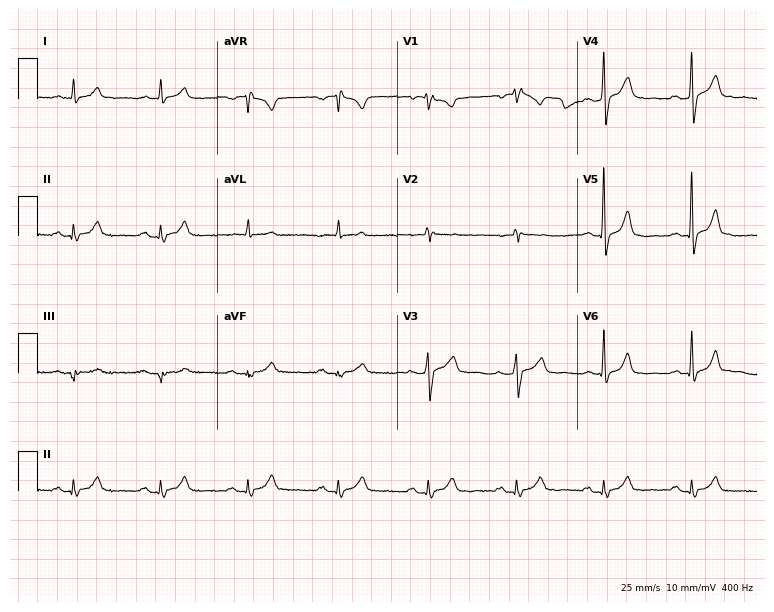
12-lead ECG from a 67-year-old male. No first-degree AV block, right bundle branch block, left bundle branch block, sinus bradycardia, atrial fibrillation or sinus tachycardia recorded for this tracing. Findings outside these six are not listed.